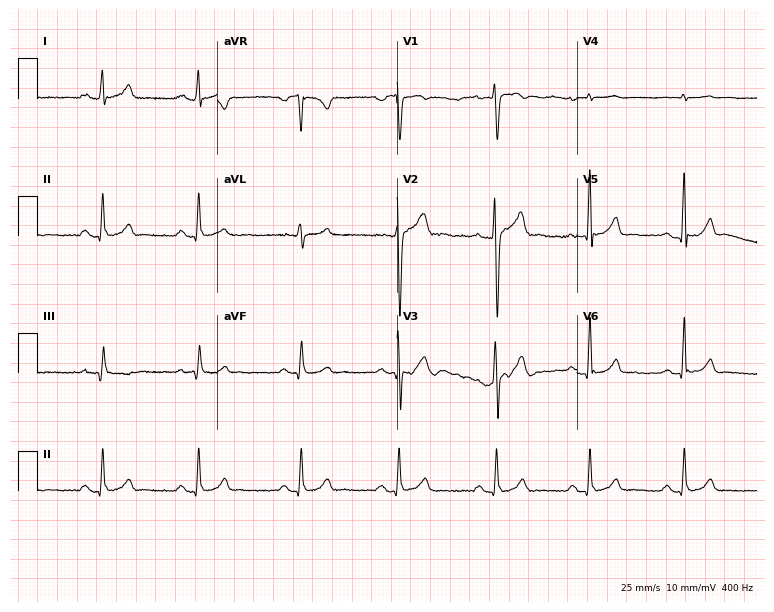
12-lead ECG from a 22-year-old male patient. Screened for six findings — first-degree AV block, right bundle branch block, left bundle branch block, sinus bradycardia, atrial fibrillation, sinus tachycardia — none is recorded.